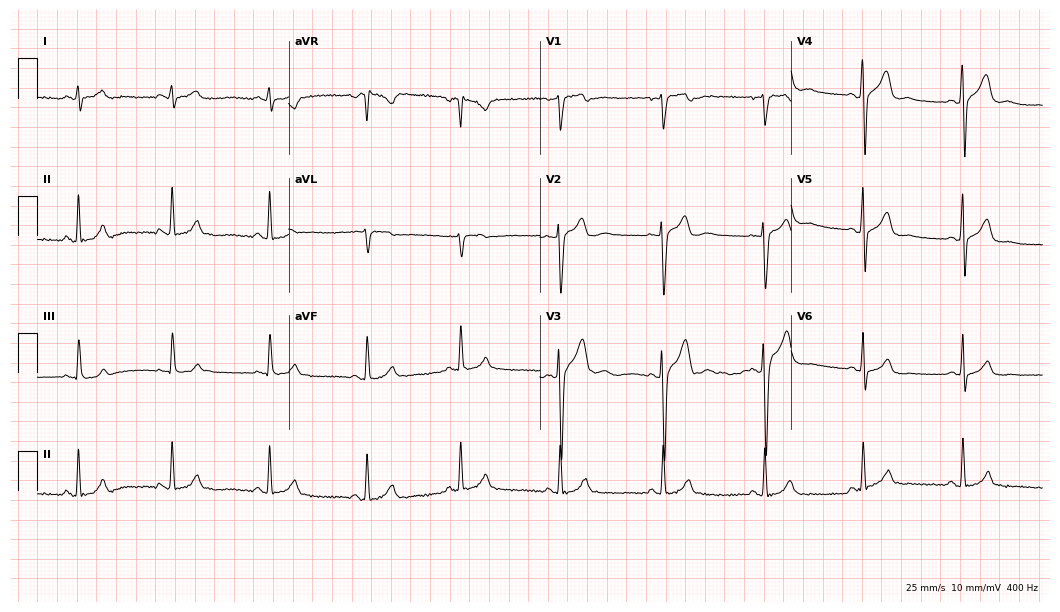
Electrocardiogram, a 21-year-old male patient. Of the six screened findings (first-degree AV block, right bundle branch block (RBBB), left bundle branch block (LBBB), sinus bradycardia, atrial fibrillation (AF), sinus tachycardia), none is recorded.